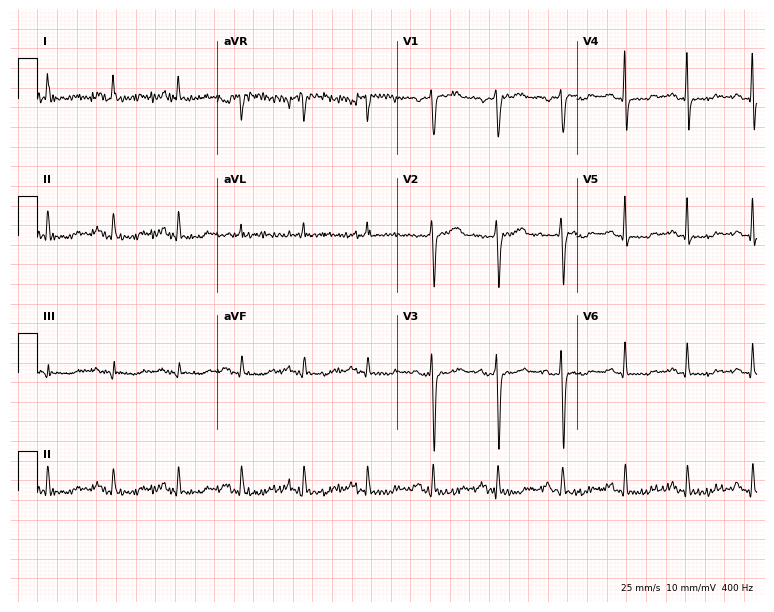
Standard 12-lead ECG recorded from a female, 65 years old (7.3-second recording at 400 Hz). Read as a normal ECG.